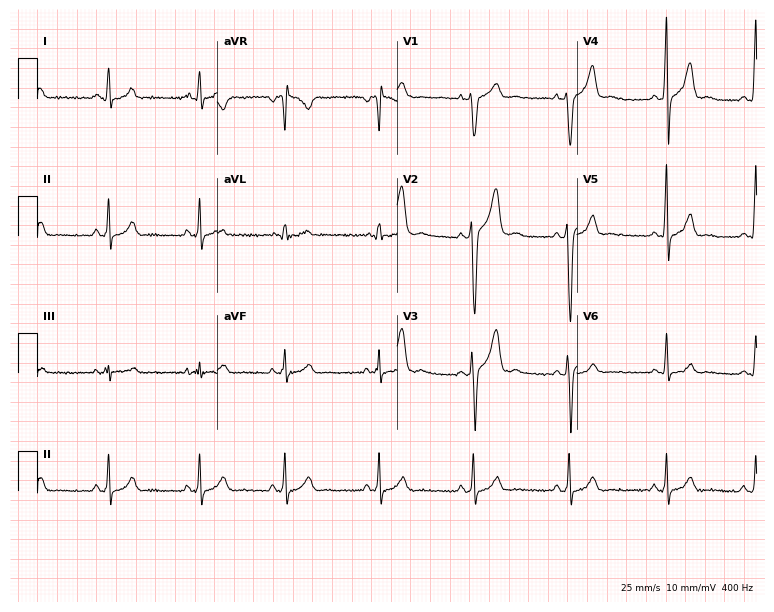
Resting 12-lead electrocardiogram. Patient: an 18-year-old male. Read as a normal ECG.